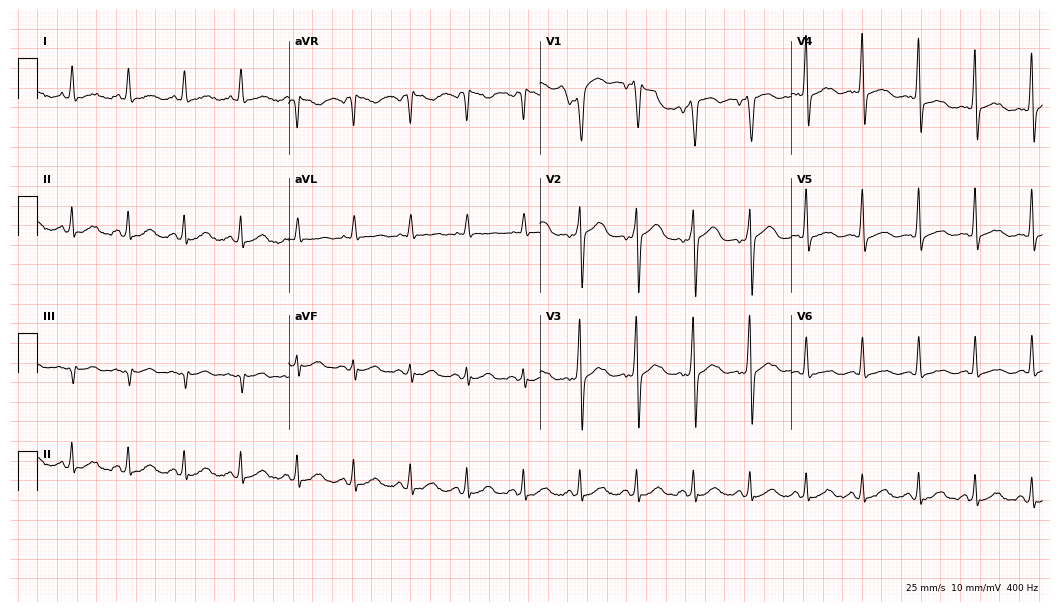
Electrocardiogram, a 50-year-old man. Of the six screened findings (first-degree AV block, right bundle branch block (RBBB), left bundle branch block (LBBB), sinus bradycardia, atrial fibrillation (AF), sinus tachycardia), none is recorded. Other findings, if any, are not listed.